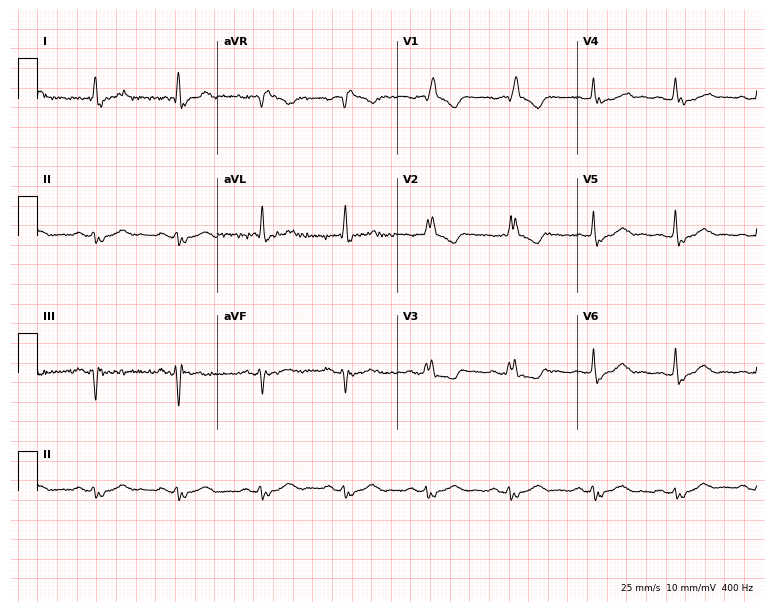
12-lead ECG from a male patient, 84 years old. Findings include right bundle branch block.